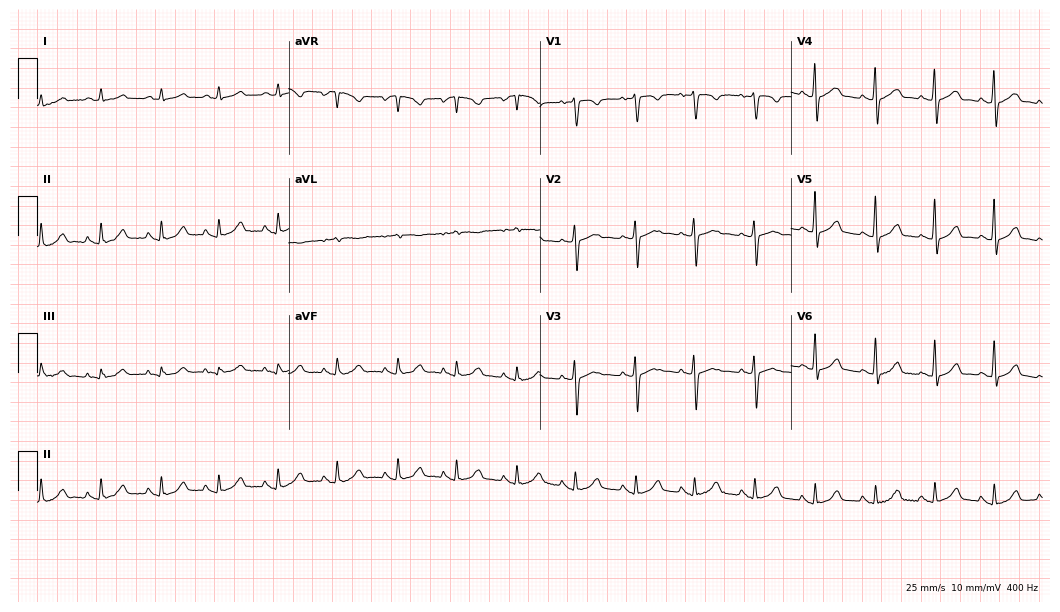
12-lead ECG from an 81-year-old female patient. No first-degree AV block, right bundle branch block, left bundle branch block, sinus bradycardia, atrial fibrillation or sinus tachycardia recorded for this tracing.